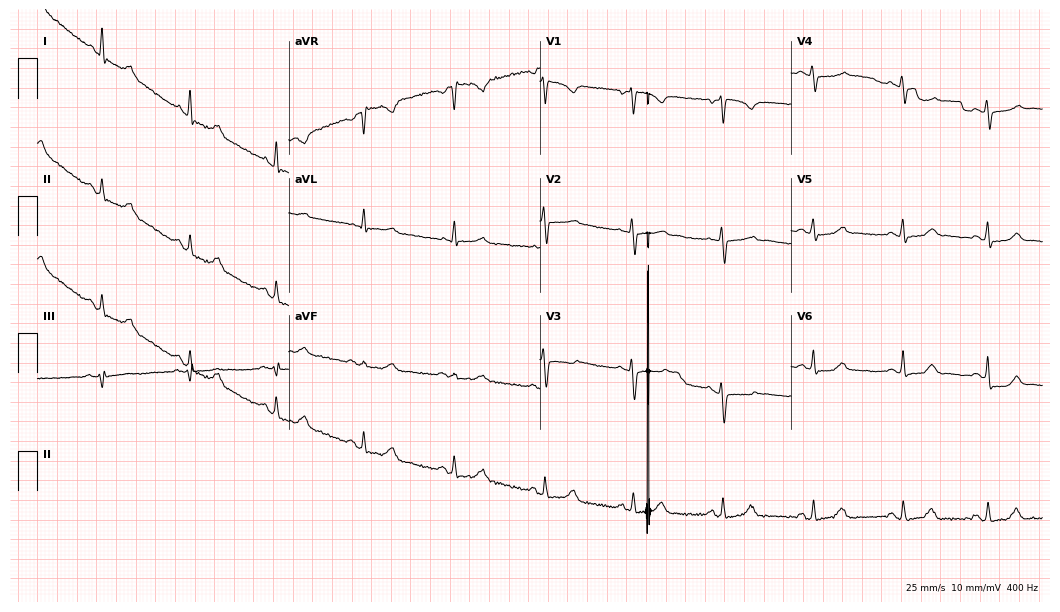
ECG — a 41-year-old female patient. Screened for six findings — first-degree AV block, right bundle branch block, left bundle branch block, sinus bradycardia, atrial fibrillation, sinus tachycardia — none is recorded. Other findings, if any, are not listed.